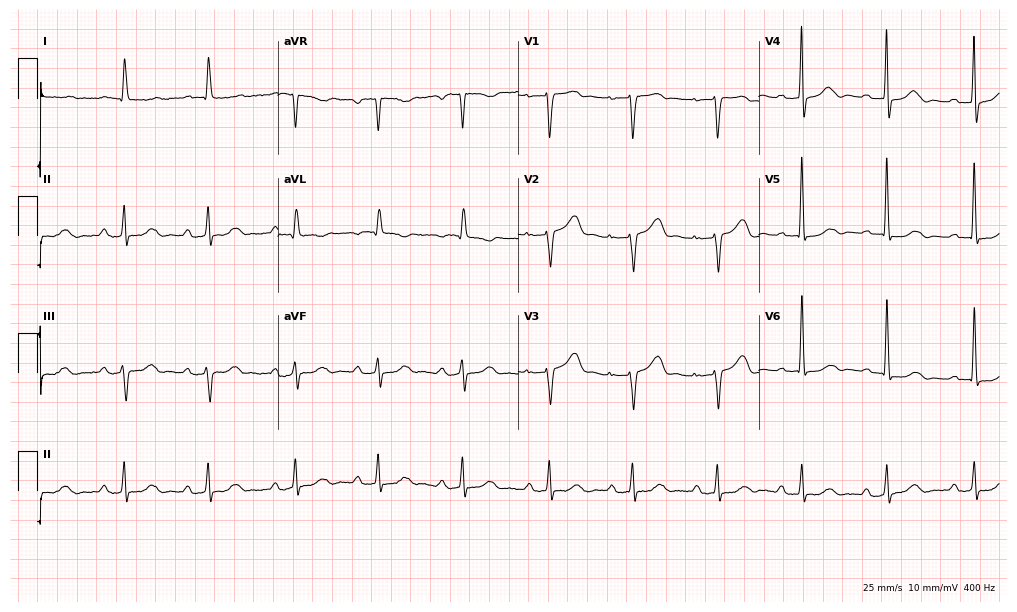
12-lead ECG from a female, 83 years old (9.8-second recording at 400 Hz). No first-degree AV block, right bundle branch block, left bundle branch block, sinus bradycardia, atrial fibrillation or sinus tachycardia recorded for this tracing.